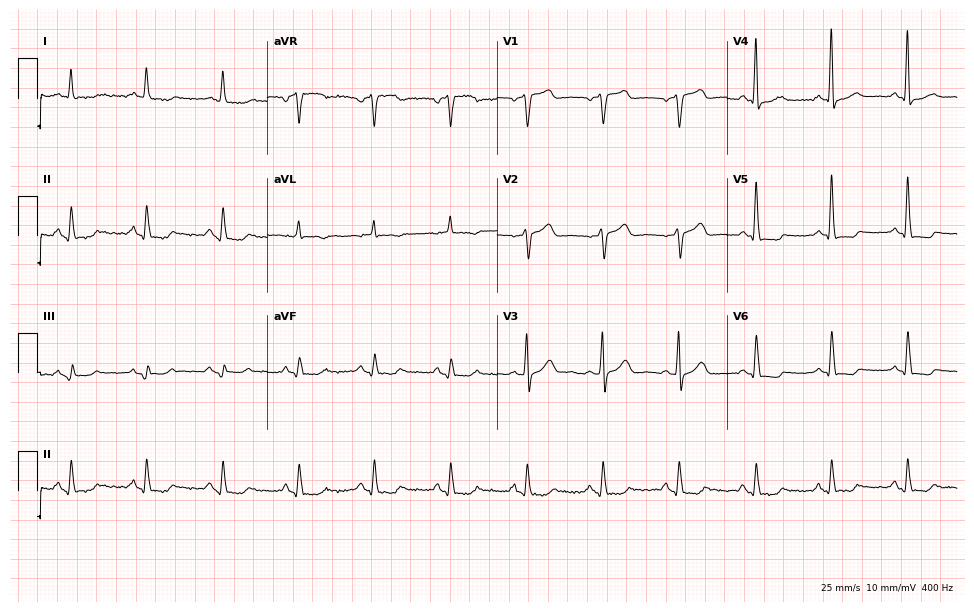
Resting 12-lead electrocardiogram (9.4-second recording at 400 Hz). Patient: an 80-year-old male. None of these six findings is recorded: first-degree AV block, right bundle branch block, left bundle branch block, sinus bradycardia, atrial fibrillation, sinus tachycardia.